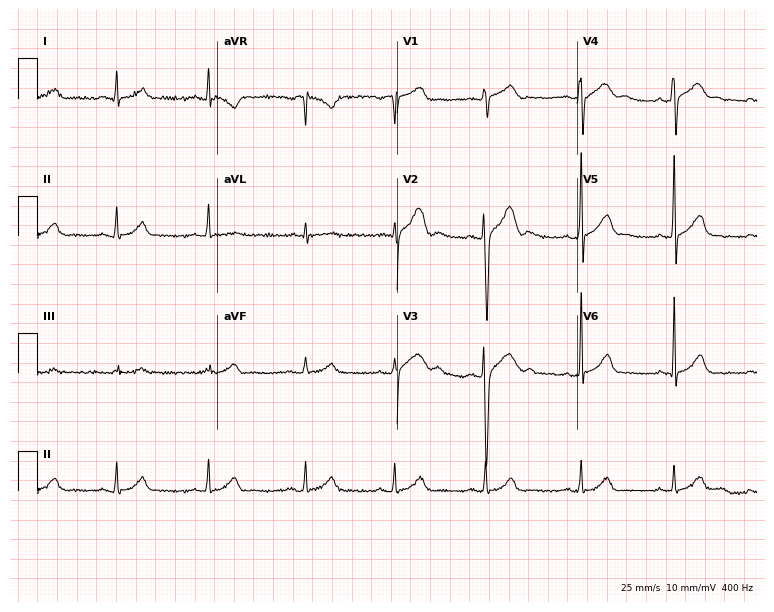
Electrocardiogram, a 26-year-old man. Overall reading on record: normal ECG.